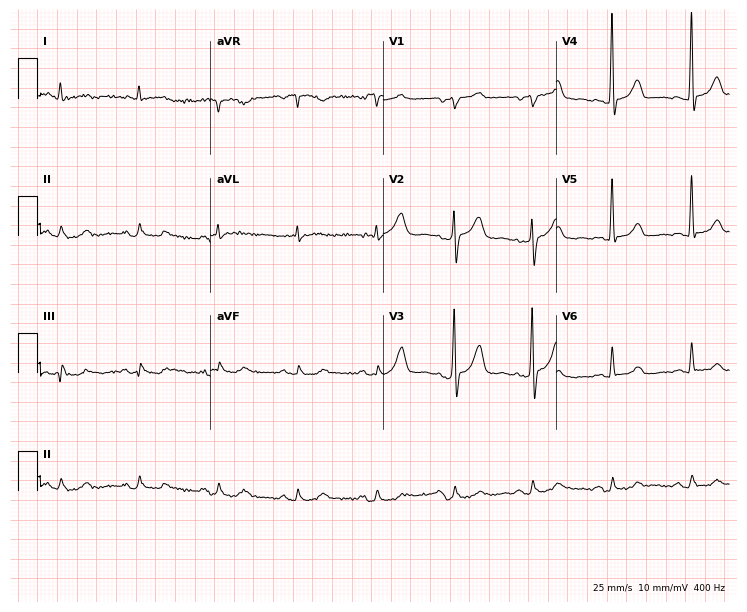
Electrocardiogram (7.1-second recording at 400 Hz), a 53-year-old male. Of the six screened findings (first-degree AV block, right bundle branch block (RBBB), left bundle branch block (LBBB), sinus bradycardia, atrial fibrillation (AF), sinus tachycardia), none is recorded.